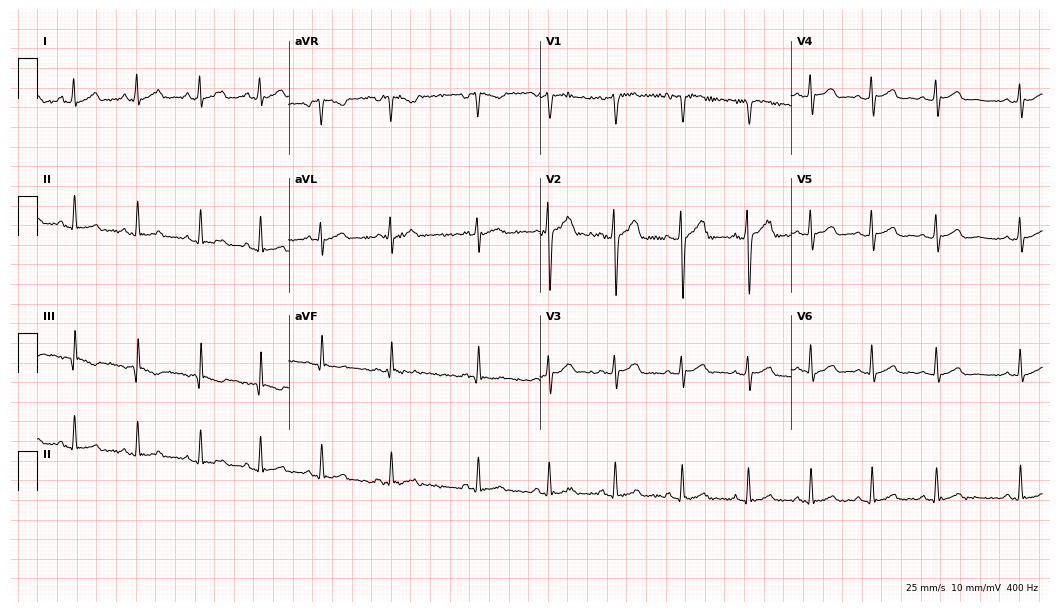
Electrocardiogram (10.2-second recording at 400 Hz), an 18-year-old woman. Of the six screened findings (first-degree AV block, right bundle branch block (RBBB), left bundle branch block (LBBB), sinus bradycardia, atrial fibrillation (AF), sinus tachycardia), none is recorded. Findings outside these six are not listed.